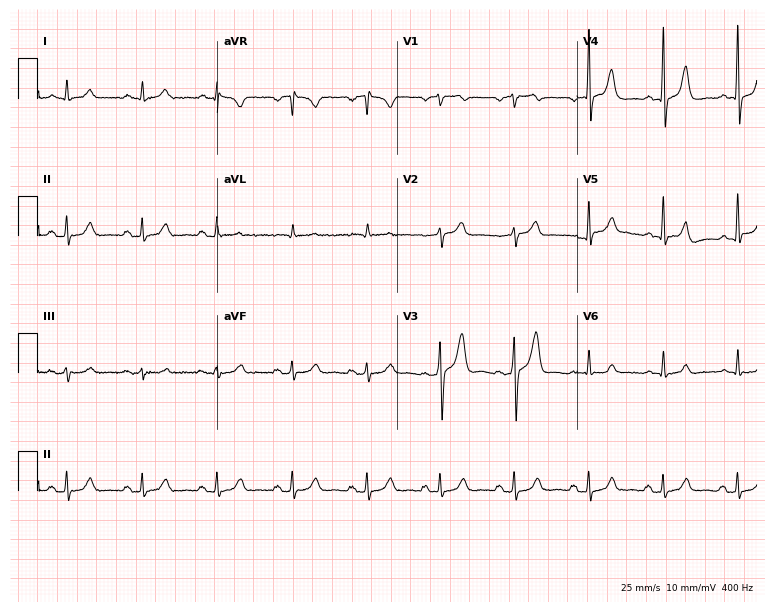
Resting 12-lead electrocardiogram (7.3-second recording at 400 Hz). Patient: a 49-year-old male. None of these six findings is recorded: first-degree AV block, right bundle branch block, left bundle branch block, sinus bradycardia, atrial fibrillation, sinus tachycardia. Other findings, if any, are not listed.